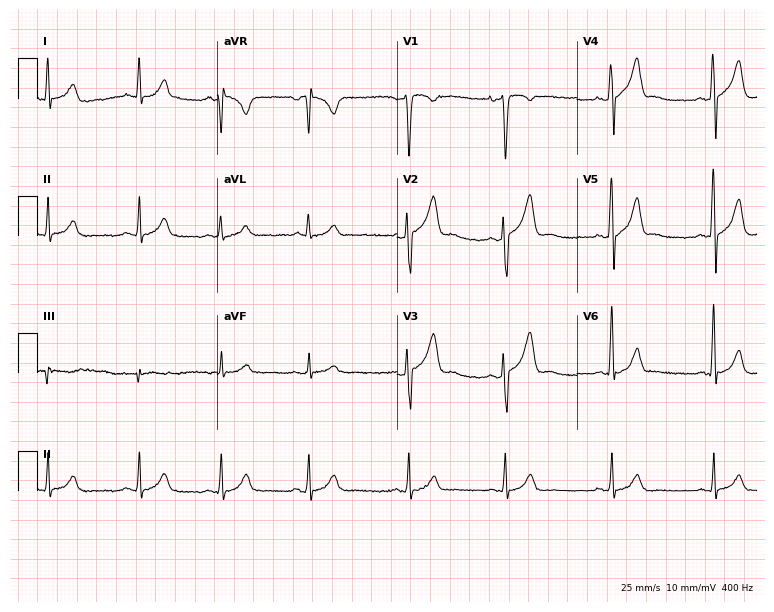
Resting 12-lead electrocardiogram (7.3-second recording at 400 Hz). Patient: a male, 34 years old. None of these six findings is recorded: first-degree AV block, right bundle branch block, left bundle branch block, sinus bradycardia, atrial fibrillation, sinus tachycardia. Other findings, if any, are not listed.